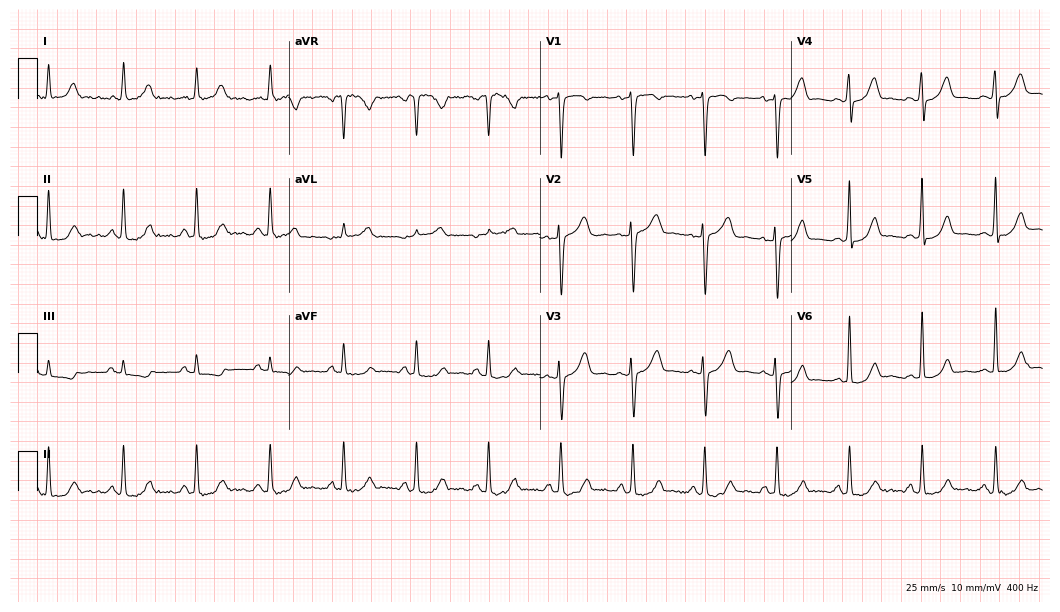
12-lead ECG (10.2-second recording at 400 Hz) from a 43-year-old female patient. Screened for six findings — first-degree AV block, right bundle branch block (RBBB), left bundle branch block (LBBB), sinus bradycardia, atrial fibrillation (AF), sinus tachycardia — none is recorded.